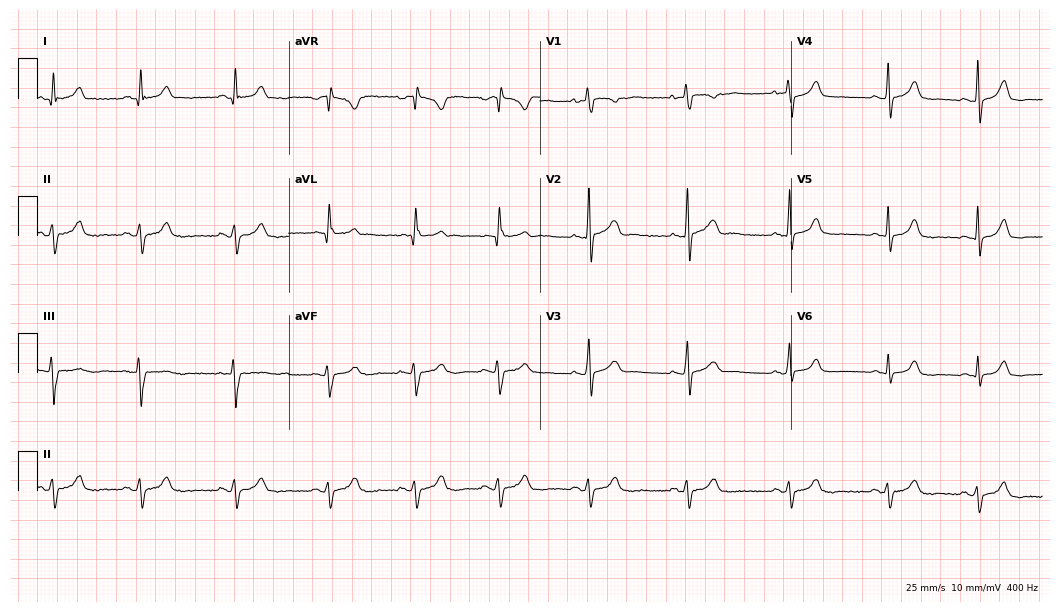
ECG (10.2-second recording at 400 Hz) — a 32-year-old woman. Screened for six findings — first-degree AV block, right bundle branch block, left bundle branch block, sinus bradycardia, atrial fibrillation, sinus tachycardia — none is recorded.